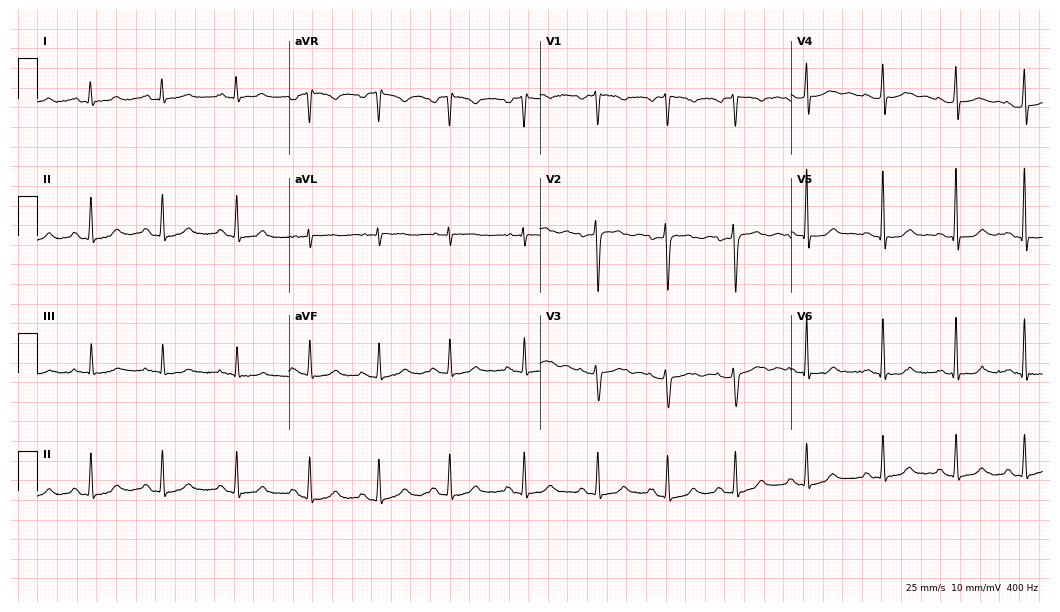
Standard 12-lead ECG recorded from a female, 26 years old. None of these six findings is recorded: first-degree AV block, right bundle branch block, left bundle branch block, sinus bradycardia, atrial fibrillation, sinus tachycardia.